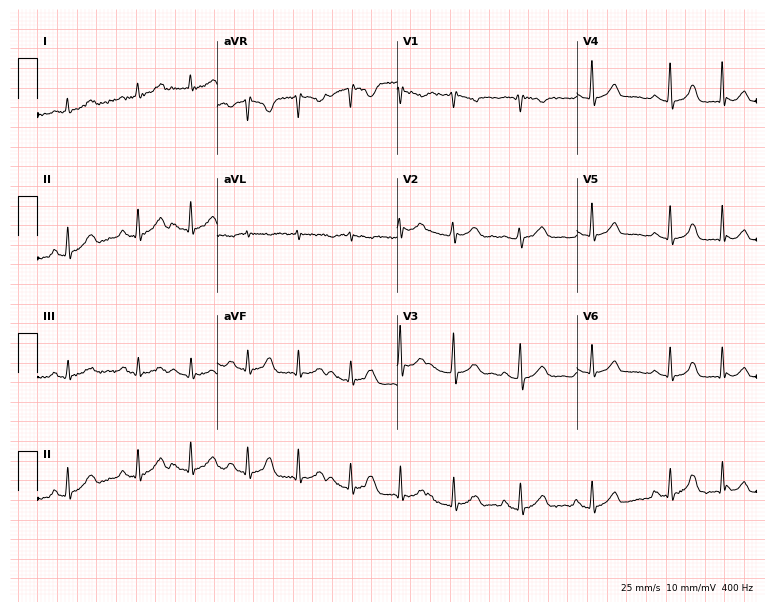
12-lead ECG from a woman, 53 years old. No first-degree AV block, right bundle branch block, left bundle branch block, sinus bradycardia, atrial fibrillation or sinus tachycardia recorded for this tracing.